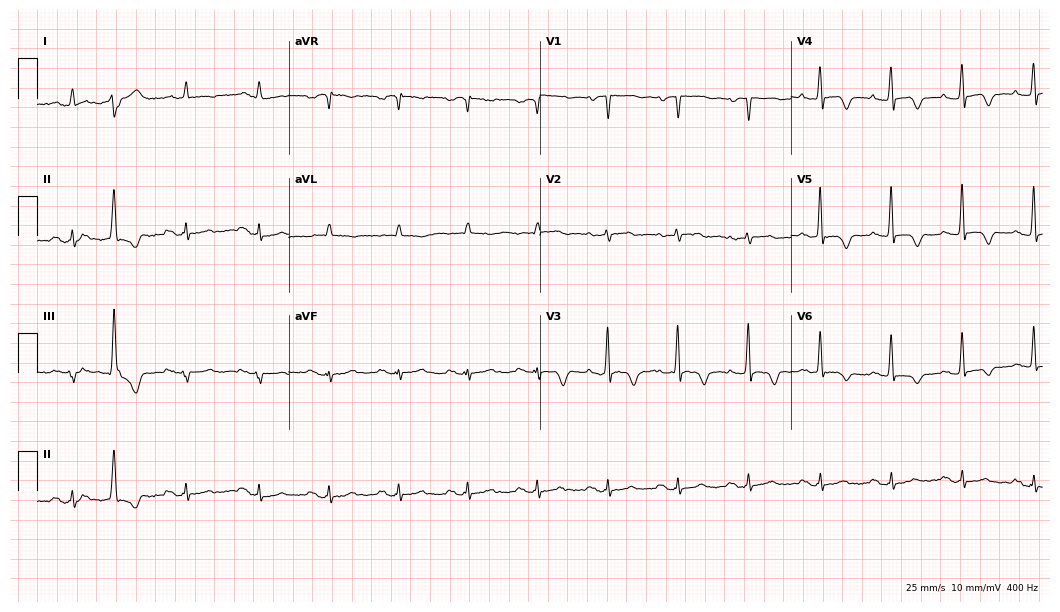
Resting 12-lead electrocardiogram. Patient: a 43-year-old female. None of these six findings is recorded: first-degree AV block, right bundle branch block, left bundle branch block, sinus bradycardia, atrial fibrillation, sinus tachycardia.